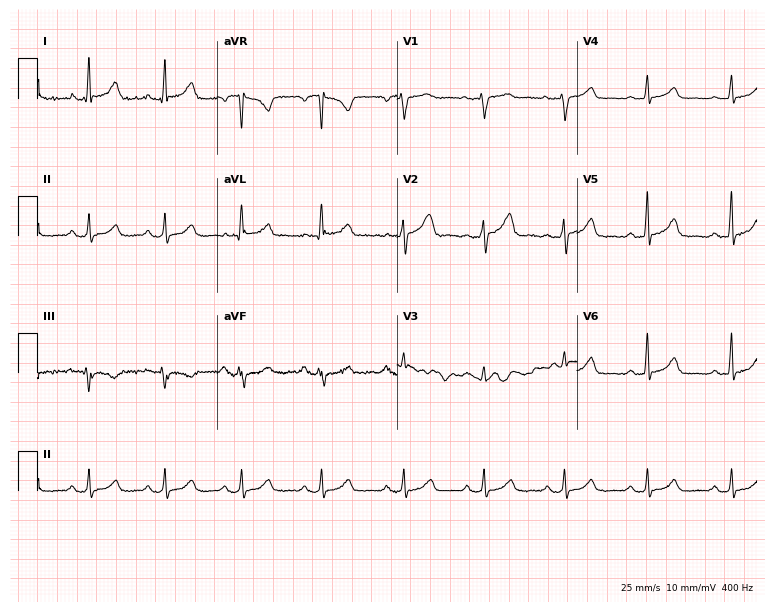
ECG (7.3-second recording at 400 Hz) — a female, 31 years old. Screened for six findings — first-degree AV block, right bundle branch block (RBBB), left bundle branch block (LBBB), sinus bradycardia, atrial fibrillation (AF), sinus tachycardia — none is recorded. Other findings, if any, are not listed.